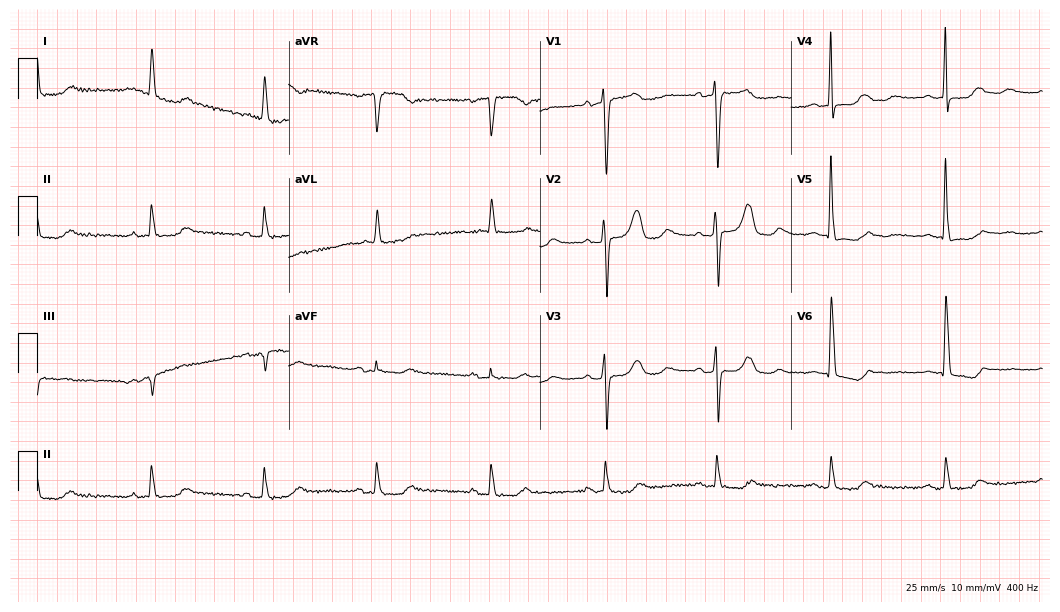
Electrocardiogram, a woman, 83 years old. Of the six screened findings (first-degree AV block, right bundle branch block (RBBB), left bundle branch block (LBBB), sinus bradycardia, atrial fibrillation (AF), sinus tachycardia), none is recorded. Only these six findings were labelled.